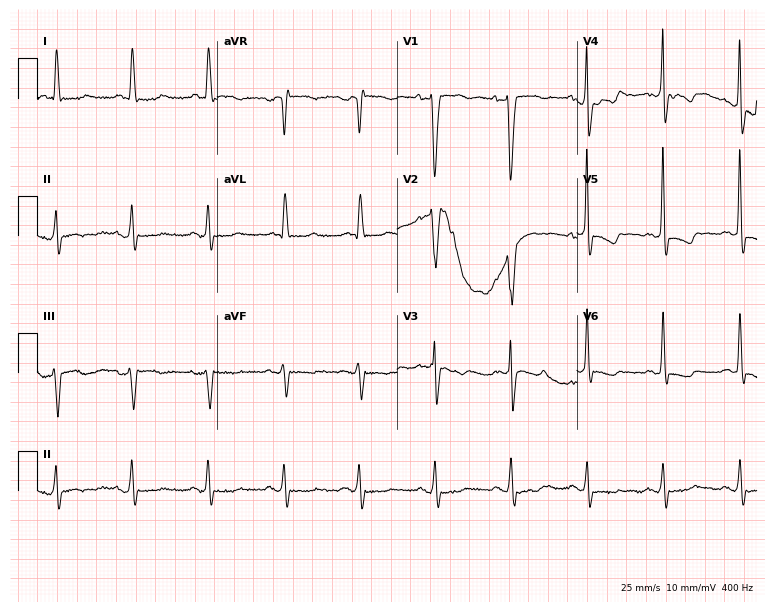
Resting 12-lead electrocardiogram (7.3-second recording at 400 Hz). Patient: a woman, 72 years old. None of these six findings is recorded: first-degree AV block, right bundle branch block, left bundle branch block, sinus bradycardia, atrial fibrillation, sinus tachycardia. Findings outside these six are not listed.